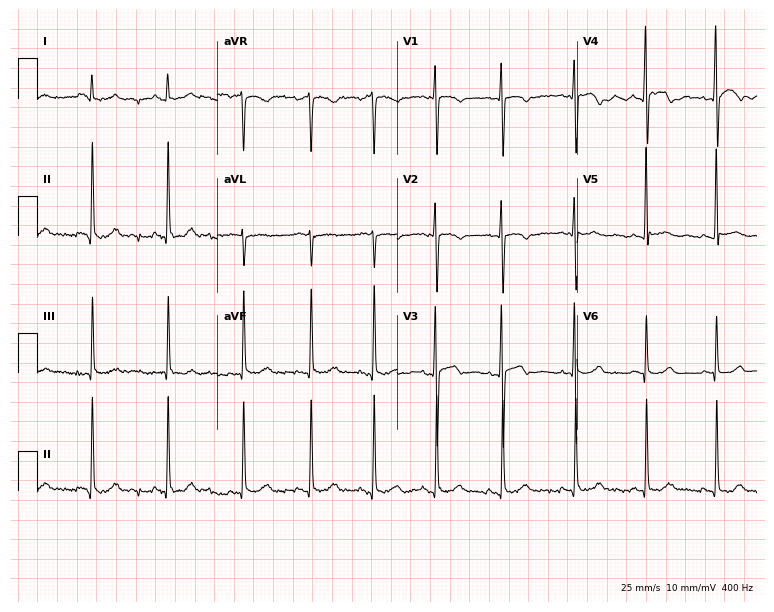
12-lead ECG (7.3-second recording at 400 Hz) from a woman, 48 years old. Screened for six findings — first-degree AV block, right bundle branch block, left bundle branch block, sinus bradycardia, atrial fibrillation, sinus tachycardia — none is recorded. Other findings, if any, are not listed.